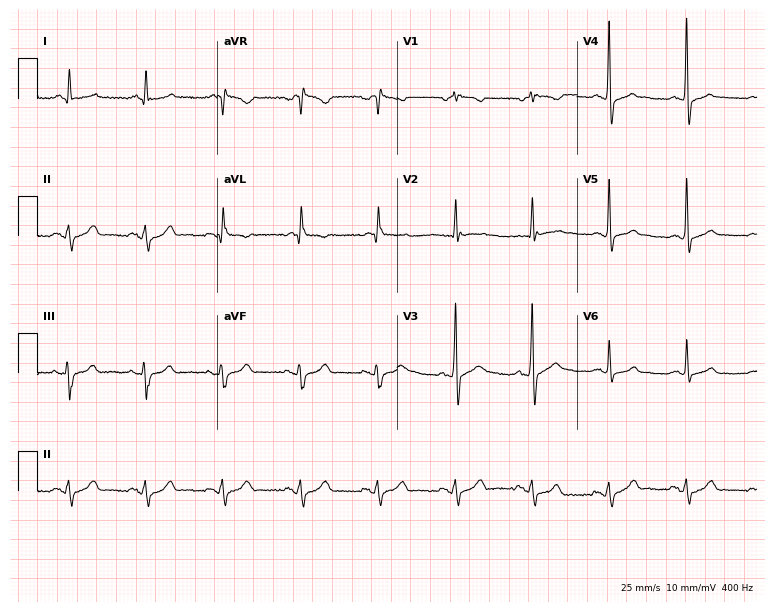
Standard 12-lead ECG recorded from a 70-year-old male. None of these six findings is recorded: first-degree AV block, right bundle branch block, left bundle branch block, sinus bradycardia, atrial fibrillation, sinus tachycardia. Only these six findings were labelled.